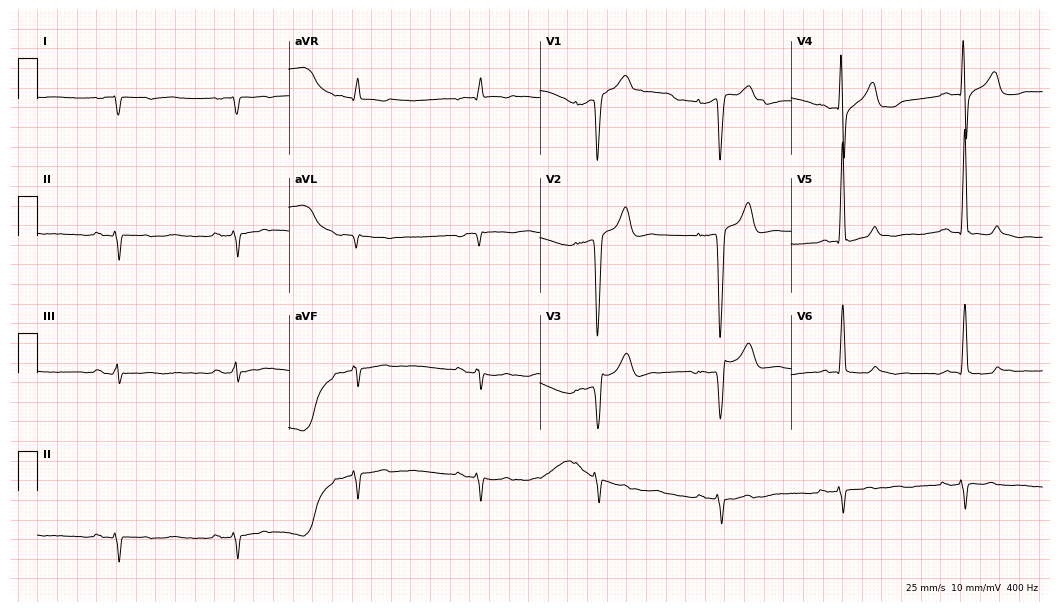
Electrocardiogram (10.2-second recording at 400 Hz), a male, 60 years old. Of the six screened findings (first-degree AV block, right bundle branch block, left bundle branch block, sinus bradycardia, atrial fibrillation, sinus tachycardia), none is recorded.